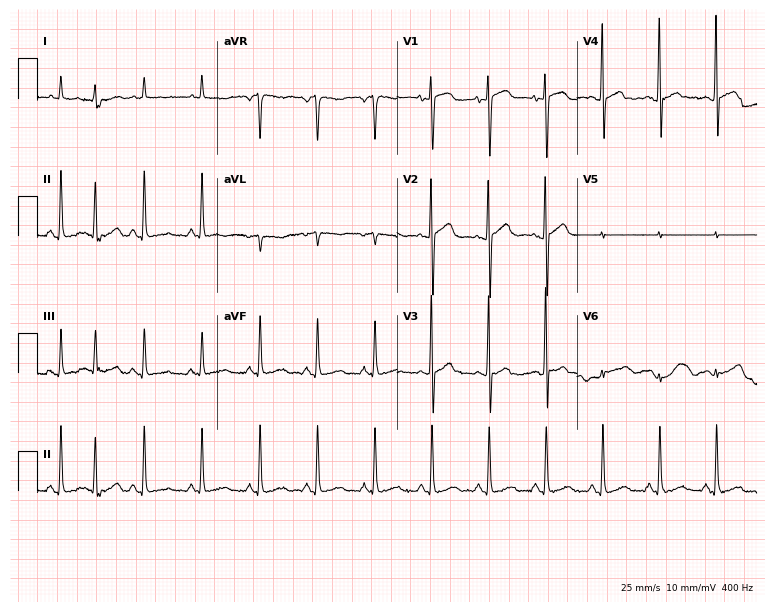
Standard 12-lead ECG recorded from an 82-year-old woman (7.3-second recording at 400 Hz). None of these six findings is recorded: first-degree AV block, right bundle branch block, left bundle branch block, sinus bradycardia, atrial fibrillation, sinus tachycardia. Only these six findings were labelled.